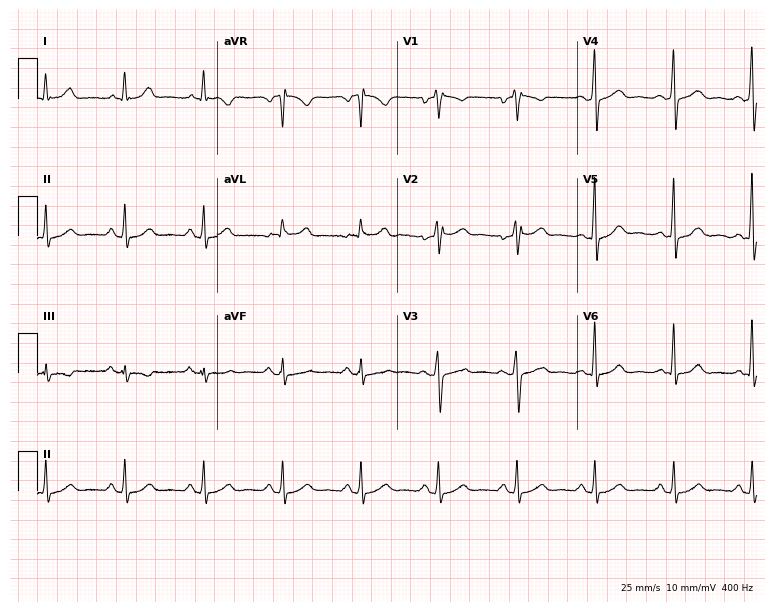
Electrocardiogram (7.3-second recording at 400 Hz), a 58-year-old male patient. Of the six screened findings (first-degree AV block, right bundle branch block, left bundle branch block, sinus bradycardia, atrial fibrillation, sinus tachycardia), none is recorded.